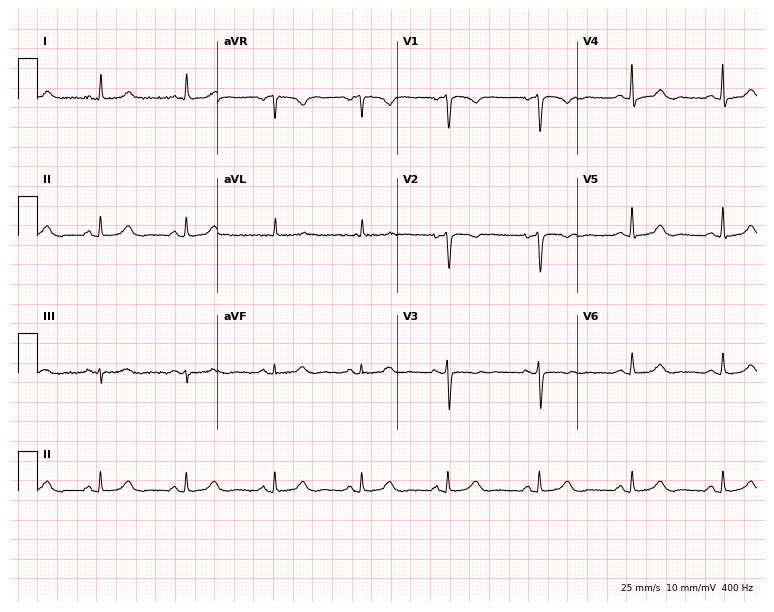
Resting 12-lead electrocardiogram. Patient: a 46-year-old woman. Read as a normal ECG.